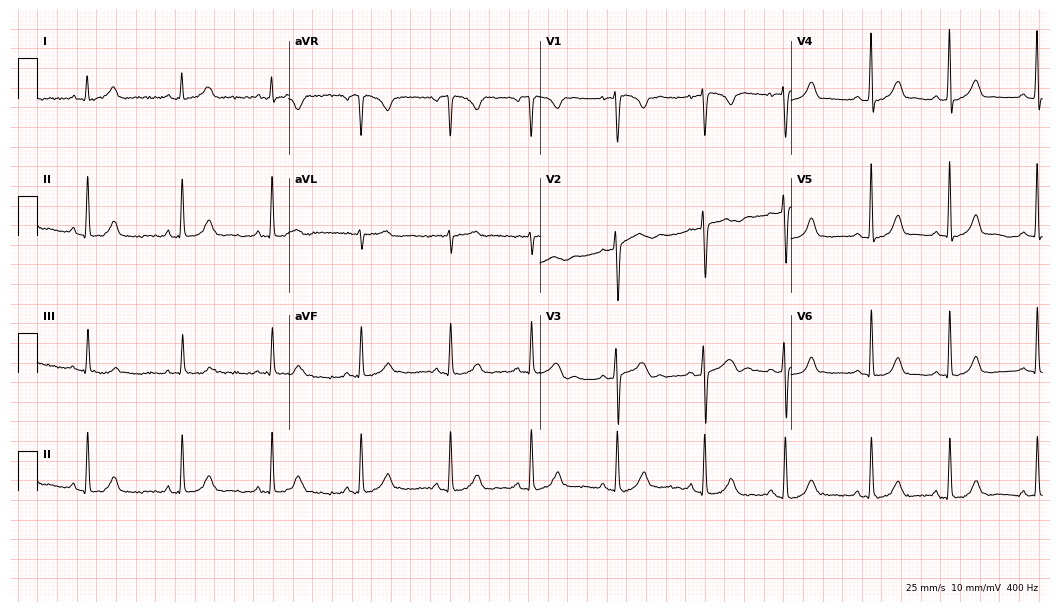
Resting 12-lead electrocardiogram. Patient: a female, 21 years old. None of these six findings is recorded: first-degree AV block, right bundle branch block, left bundle branch block, sinus bradycardia, atrial fibrillation, sinus tachycardia. Other findings, if any, are not listed.